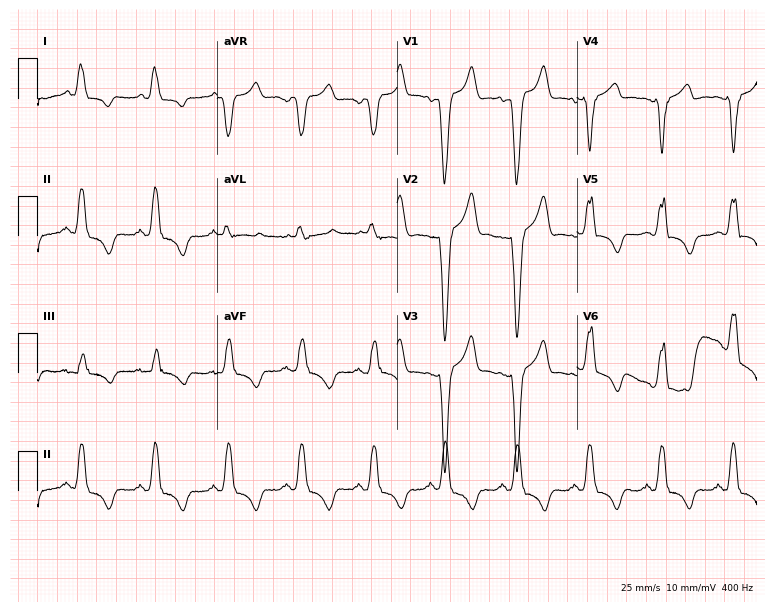
Resting 12-lead electrocardiogram (7.3-second recording at 400 Hz). Patient: a woman, 70 years old. The tracing shows left bundle branch block.